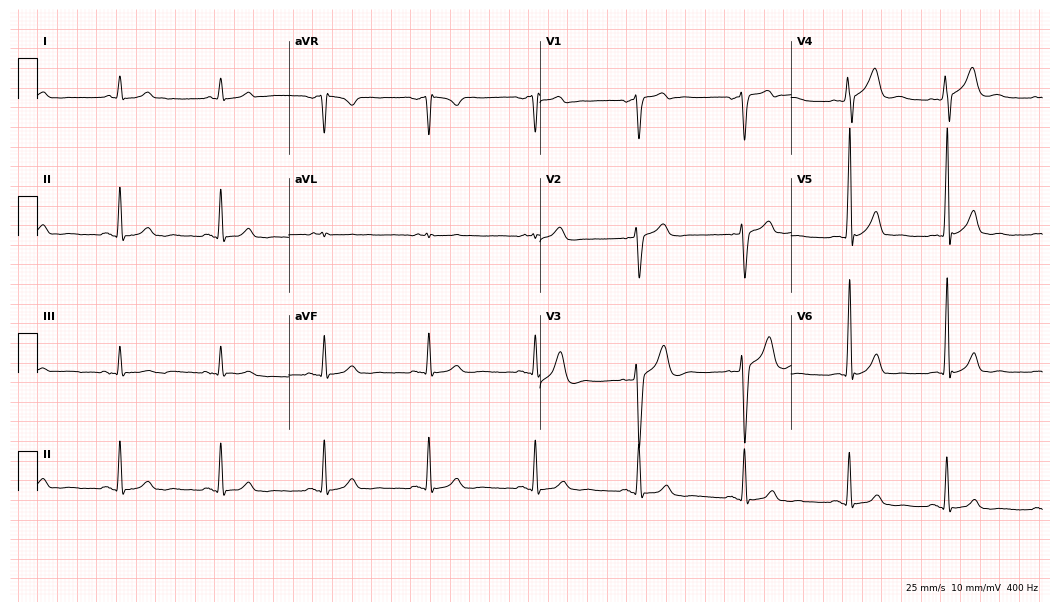
Resting 12-lead electrocardiogram (10.2-second recording at 400 Hz). Patient: a male, 68 years old. Read as a normal ECG.